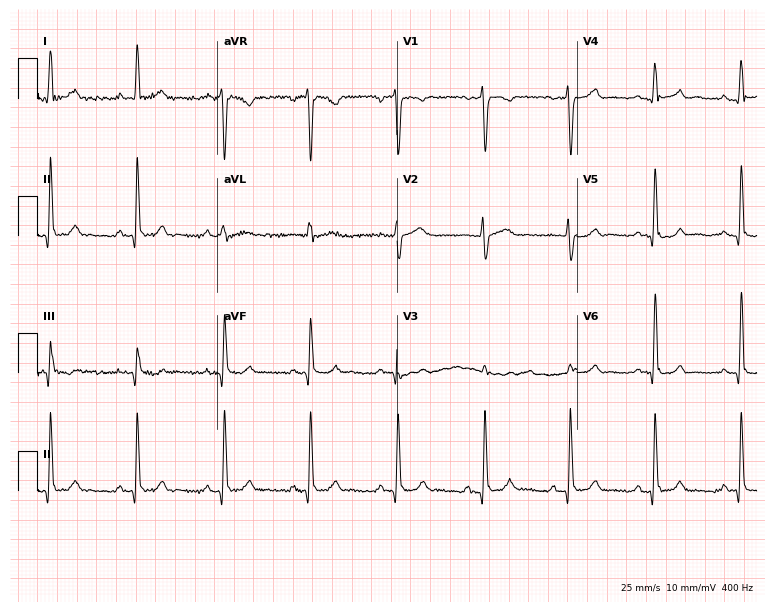
ECG — a 28-year-old man. Labelled as a normal ECG.